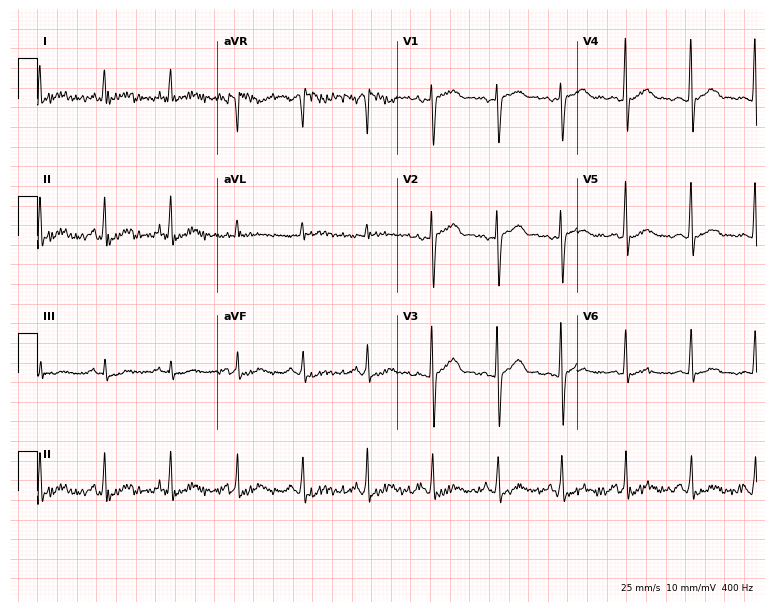
12-lead ECG from a female patient, 45 years old (7.3-second recording at 400 Hz). Recorded interpretation: within normal limits.